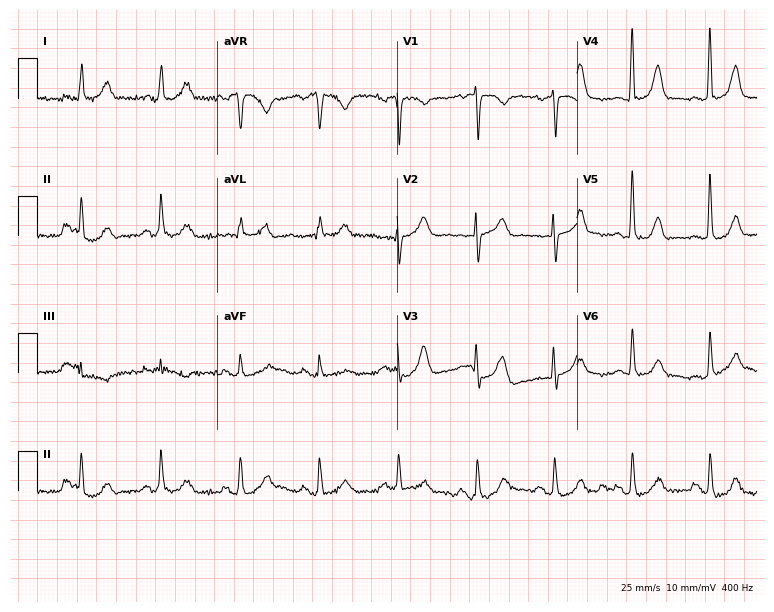
12-lead ECG (7.3-second recording at 400 Hz) from a 73-year-old female patient. Labelled as a normal ECG.